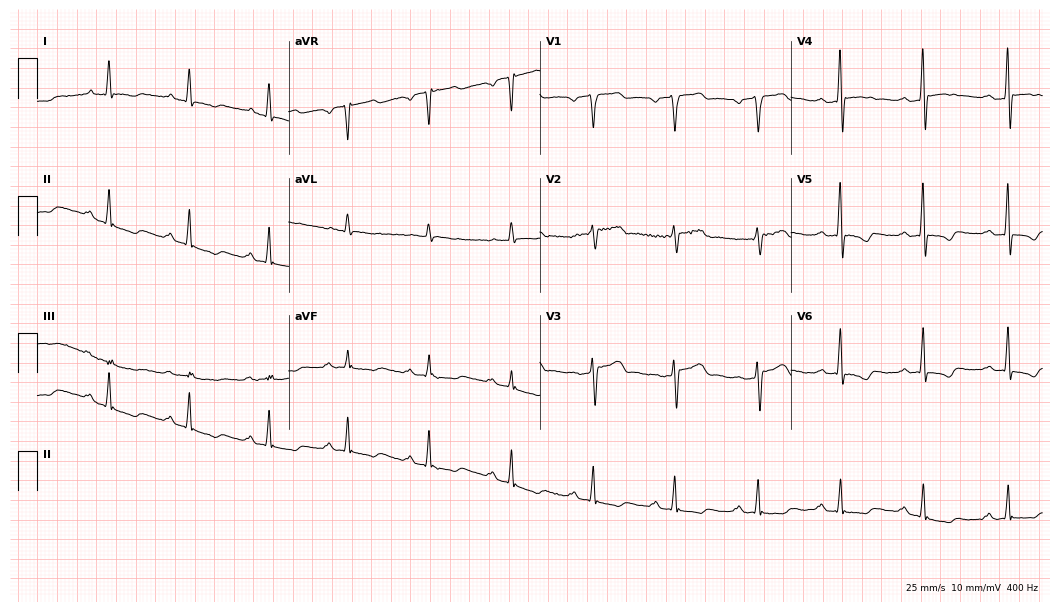
12-lead ECG (10.2-second recording at 400 Hz) from a male, 58 years old. Labelled as a normal ECG.